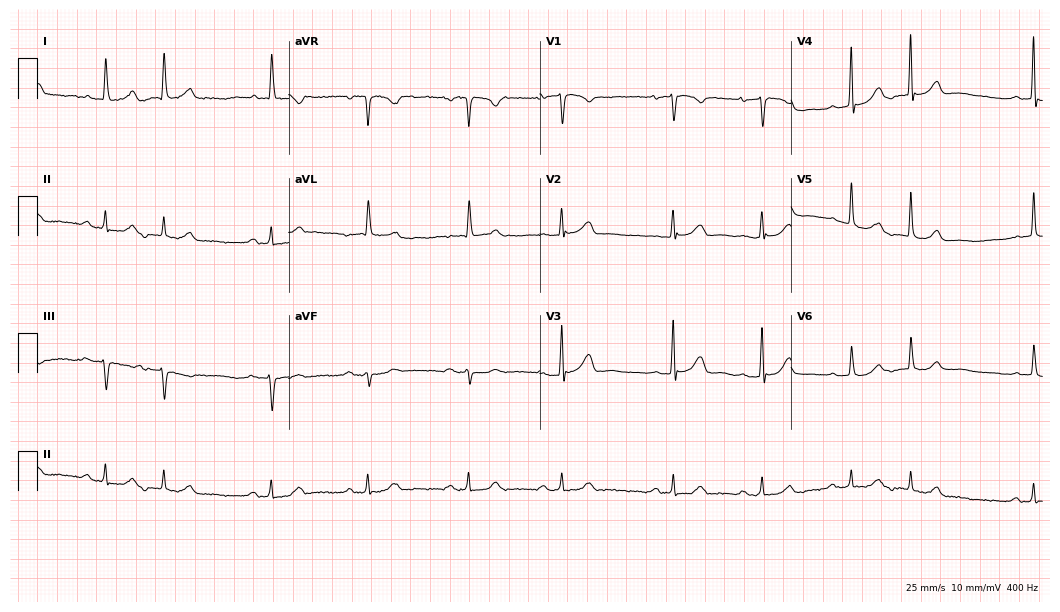
ECG — a female, 71 years old. Screened for six findings — first-degree AV block, right bundle branch block, left bundle branch block, sinus bradycardia, atrial fibrillation, sinus tachycardia — none is recorded. Findings outside these six are not listed.